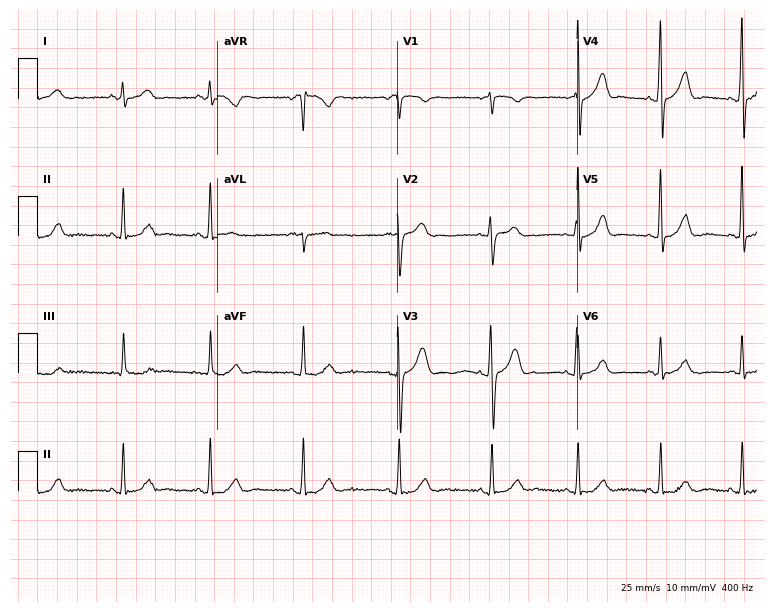
12-lead ECG from a 34-year-old female. Labelled as a normal ECG.